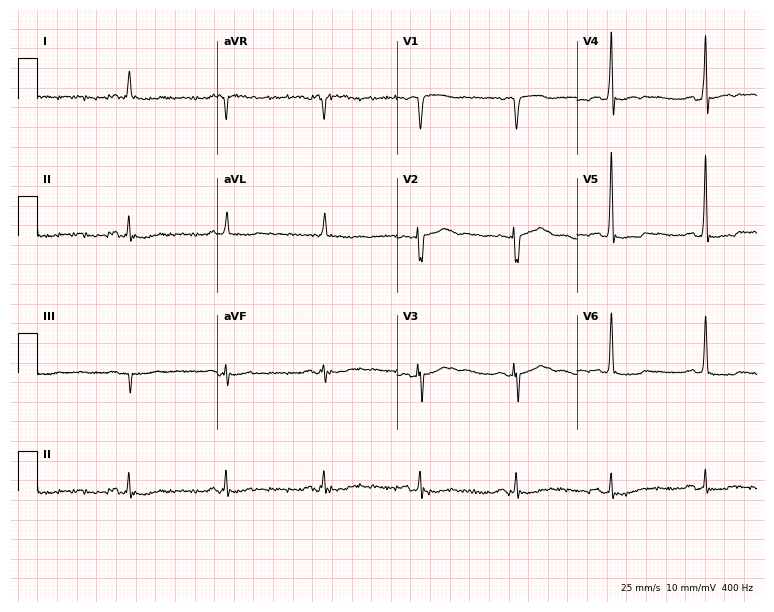
Resting 12-lead electrocardiogram (7.3-second recording at 400 Hz). Patient: a male, 79 years old. None of these six findings is recorded: first-degree AV block, right bundle branch block (RBBB), left bundle branch block (LBBB), sinus bradycardia, atrial fibrillation (AF), sinus tachycardia. Findings outside these six are not listed.